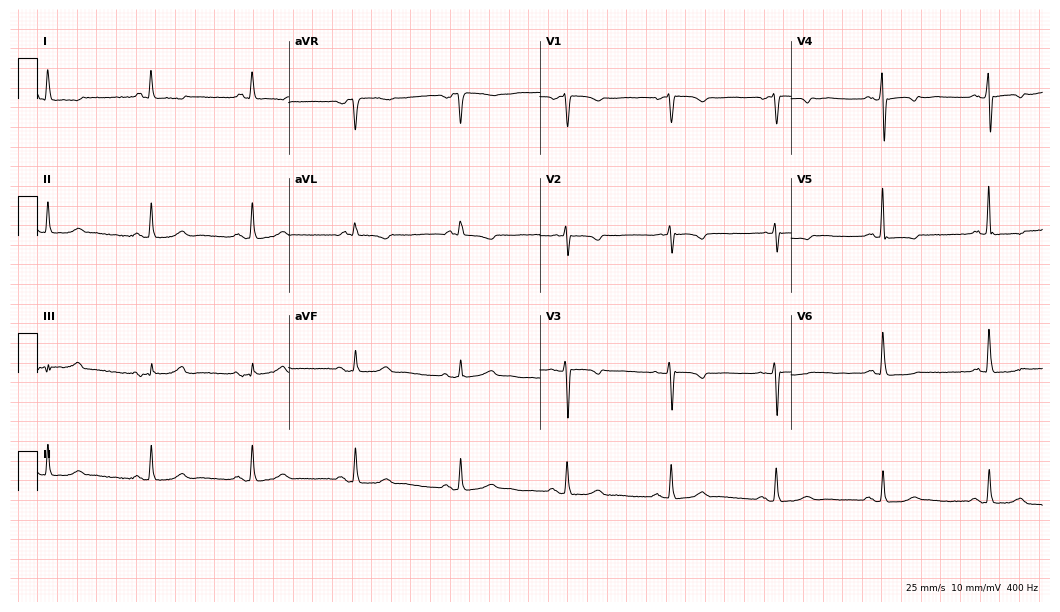
Resting 12-lead electrocardiogram (10.2-second recording at 400 Hz). Patient: a 60-year-old female. Read as a normal ECG.